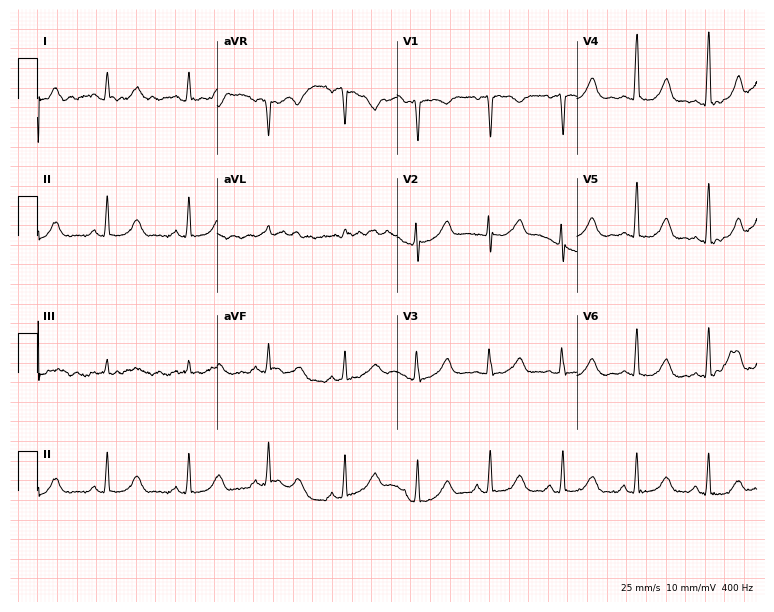
Standard 12-lead ECG recorded from a female patient, 48 years old. None of these six findings is recorded: first-degree AV block, right bundle branch block, left bundle branch block, sinus bradycardia, atrial fibrillation, sinus tachycardia. Findings outside these six are not listed.